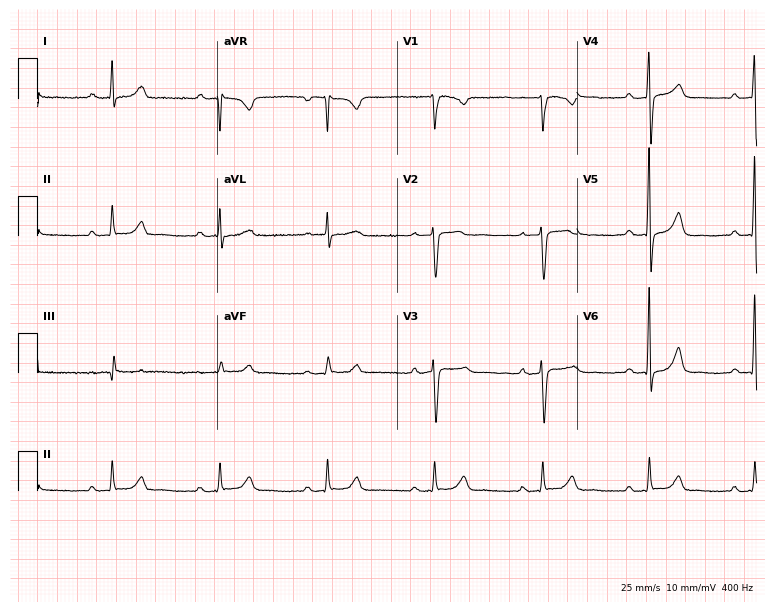
Resting 12-lead electrocardiogram. Patient: a 73-year-old man. Read as a normal ECG.